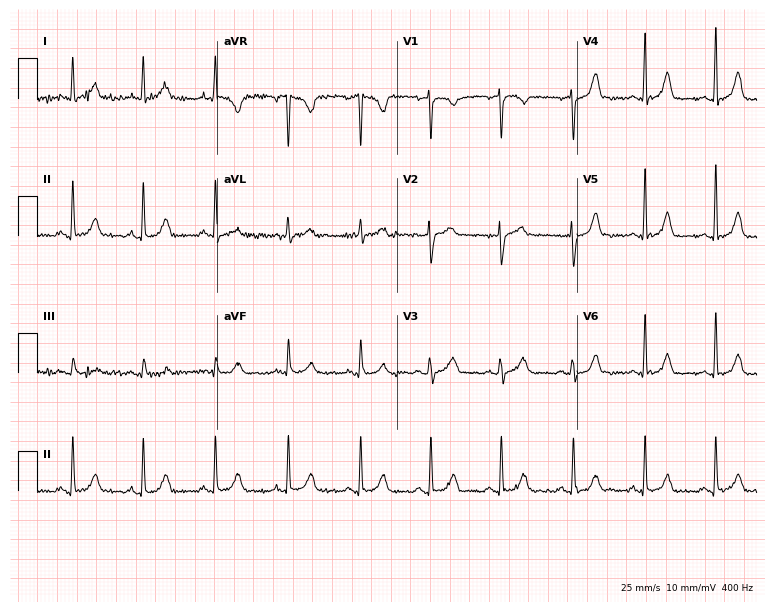
ECG (7.3-second recording at 400 Hz) — a 33-year-old female patient. Labelled as a normal ECG.